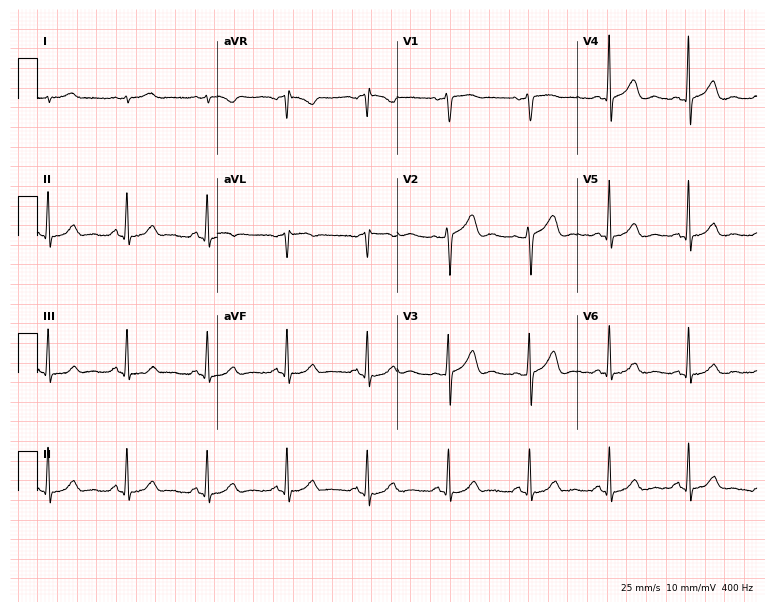
Electrocardiogram (7.3-second recording at 400 Hz), a male patient, 56 years old. Overall reading on record: normal ECG.